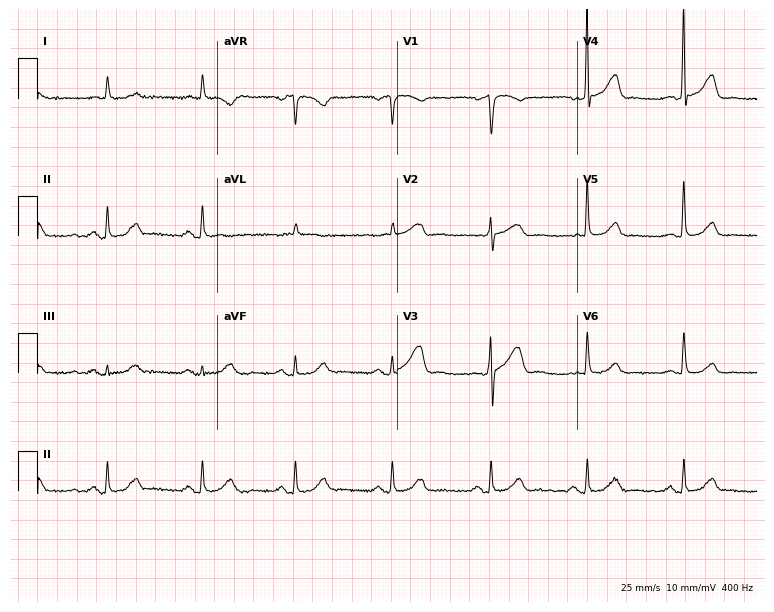
ECG (7.3-second recording at 400 Hz) — a male, 78 years old. Screened for six findings — first-degree AV block, right bundle branch block, left bundle branch block, sinus bradycardia, atrial fibrillation, sinus tachycardia — none is recorded.